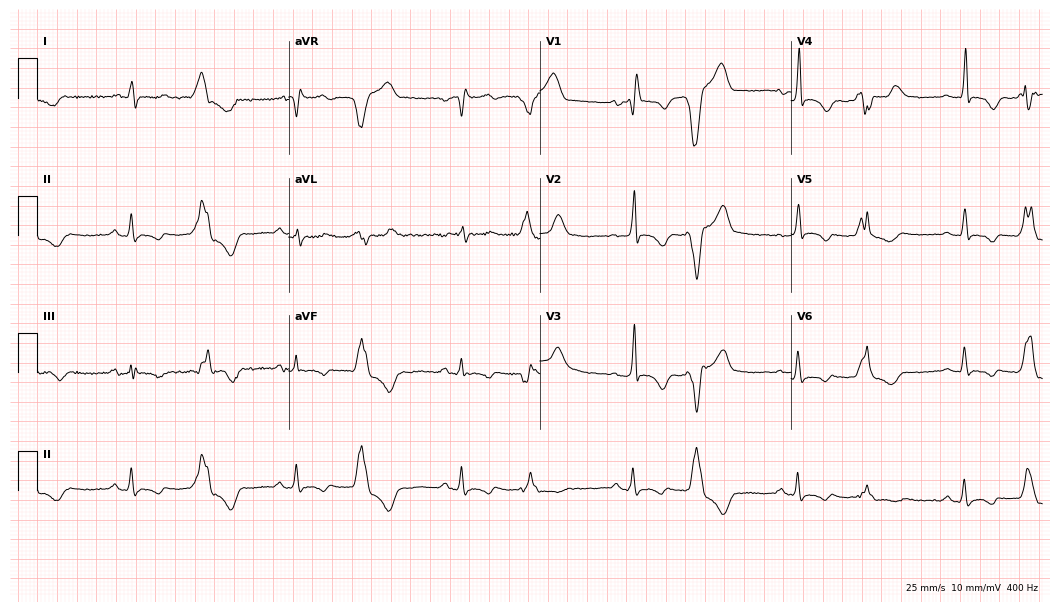
Standard 12-lead ECG recorded from a female patient, 60 years old (10.2-second recording at 400 Hz). The tracing shows right bundle branch block.